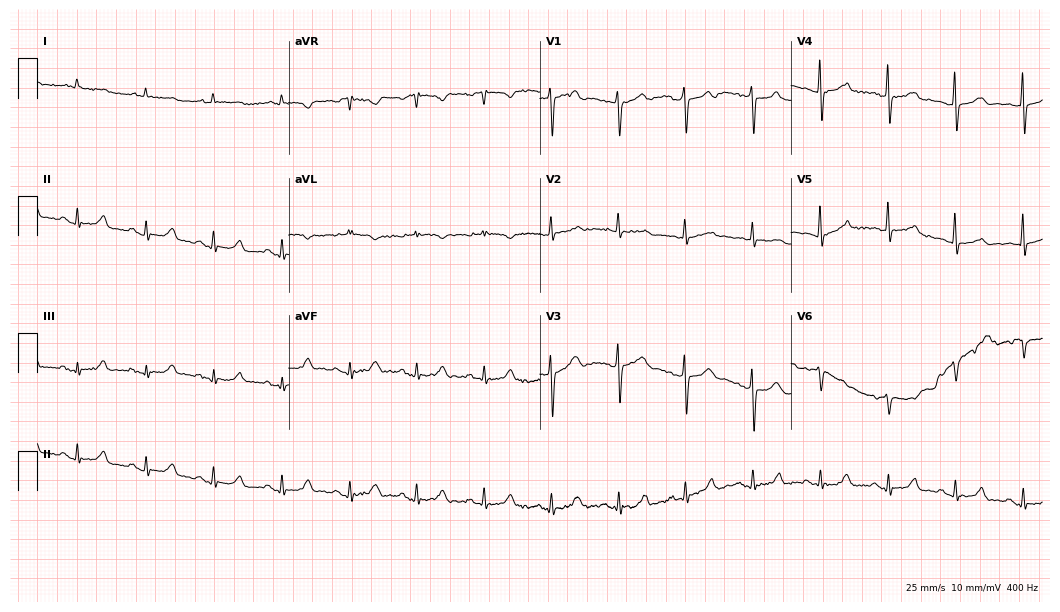
12-lead ECG from an 81-year-old man. No first-degree AV block, right bundle branch block, left bundle branch block, sinus bradycardia, atrial fibrillation or sinus tachycardia recorded for this tracing. Findings outside these six are not listed.